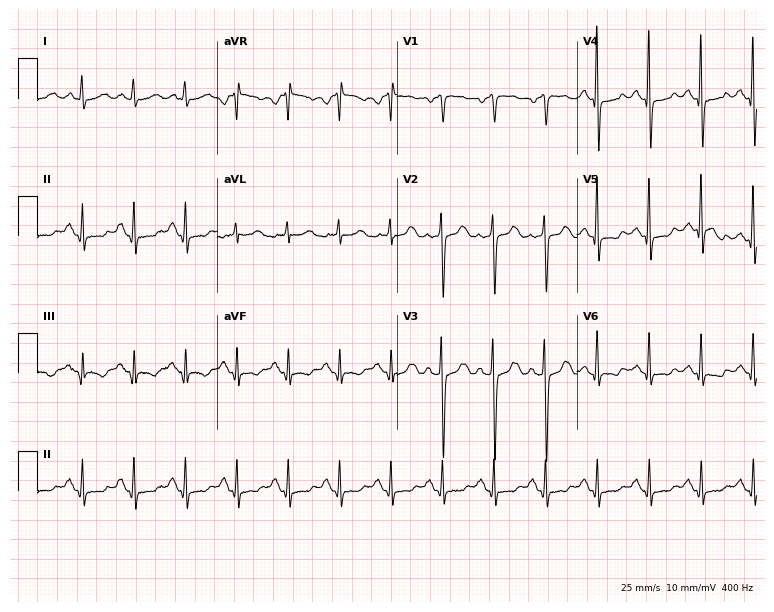
12-lead ECG from a woman, 72 years old. Shows sinus tachycardia (a sinus rate of 100 beats per minute or more).